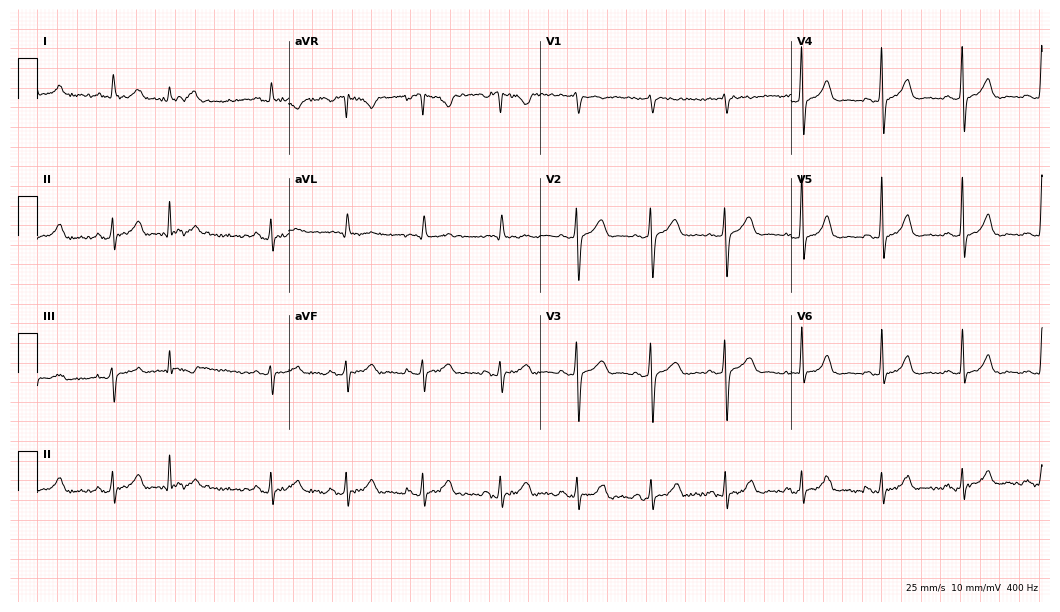
12-lead ECG from a woman, 70 years old. Labelled as a normal ECG.